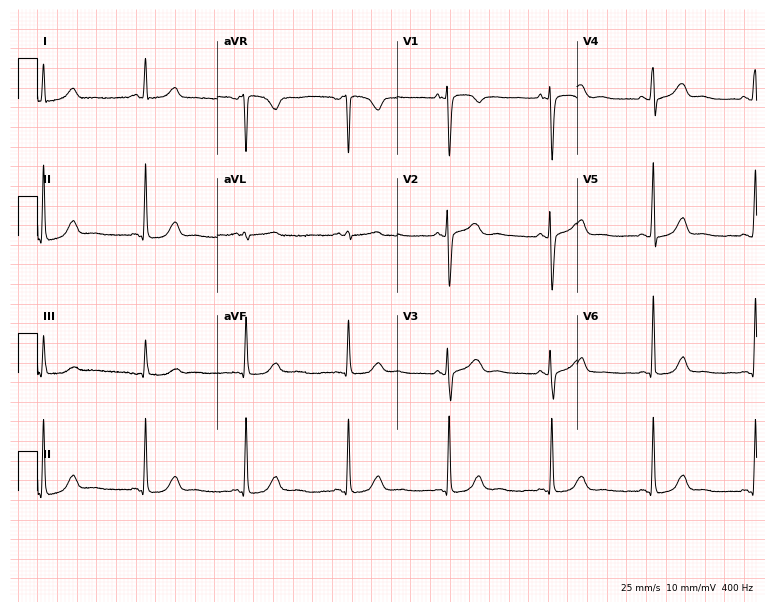
Electrocardiogram, a woman, 67 years old. Overall reading on record: normal ECG.